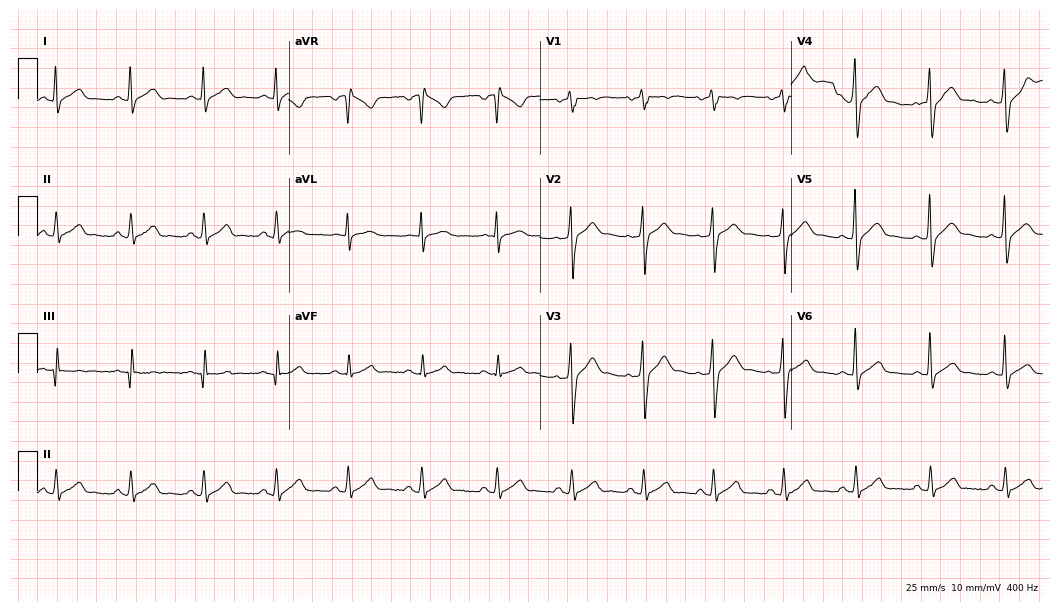
Resting 12-lead electrocardiogram (10.2-second recording at 400 Hz). Patient: a 37-year-old male. Read as a normal ECG.